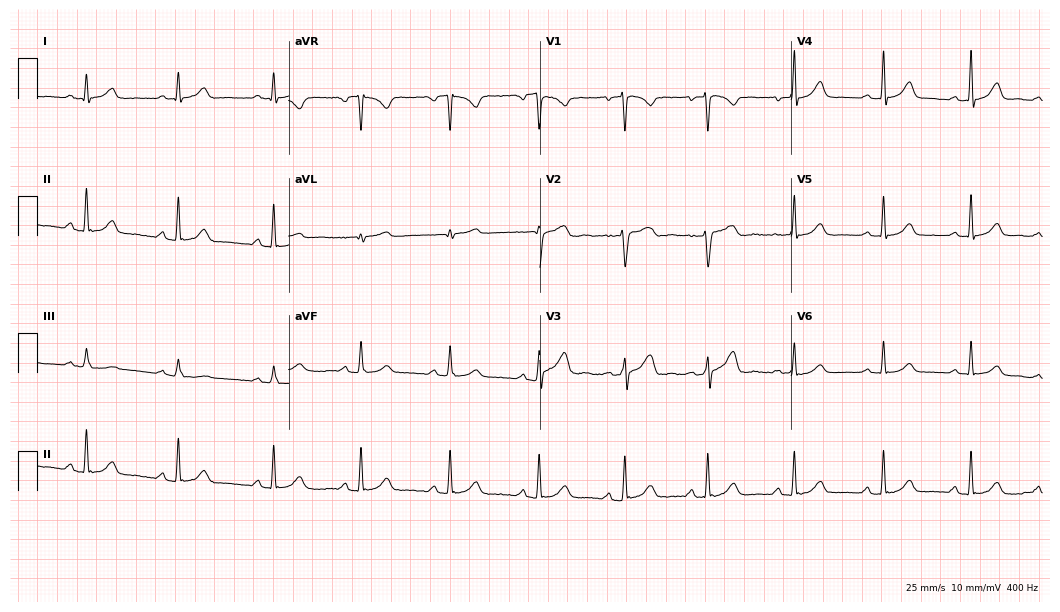
12-lead ECG from a female, 37 years old (10.2-second recording at 400 Hz). Recorded interpretation: within normal limits.